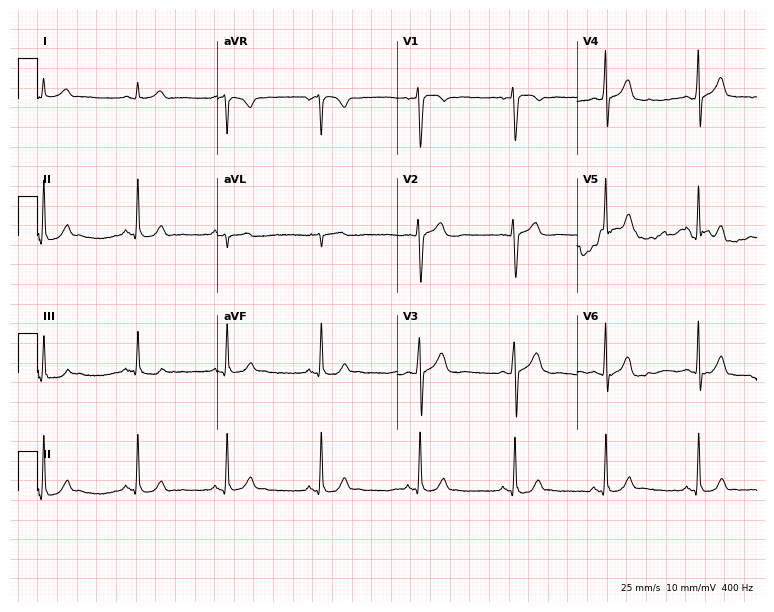
Standard 12-lead ECG recorded from a 52-year-old male patient. None of these six findings is recorded: first-degree AV block, right bundle branch block (RBBB), left bundle branch block (LBBB), sinus bradycardia, atrial fibrillation (AF), sinus tachycardia.